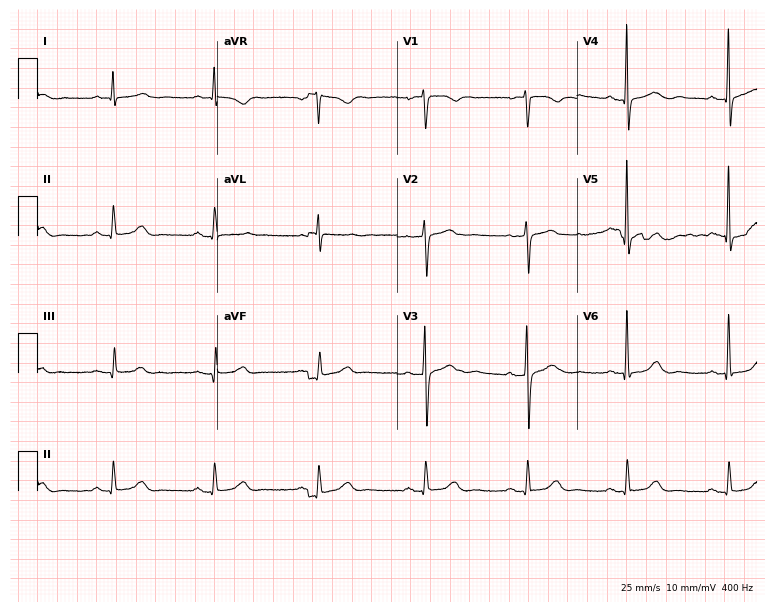
Standard 12-lead ECG recorded from a woman, 60 years old. Read as a normal ECG.